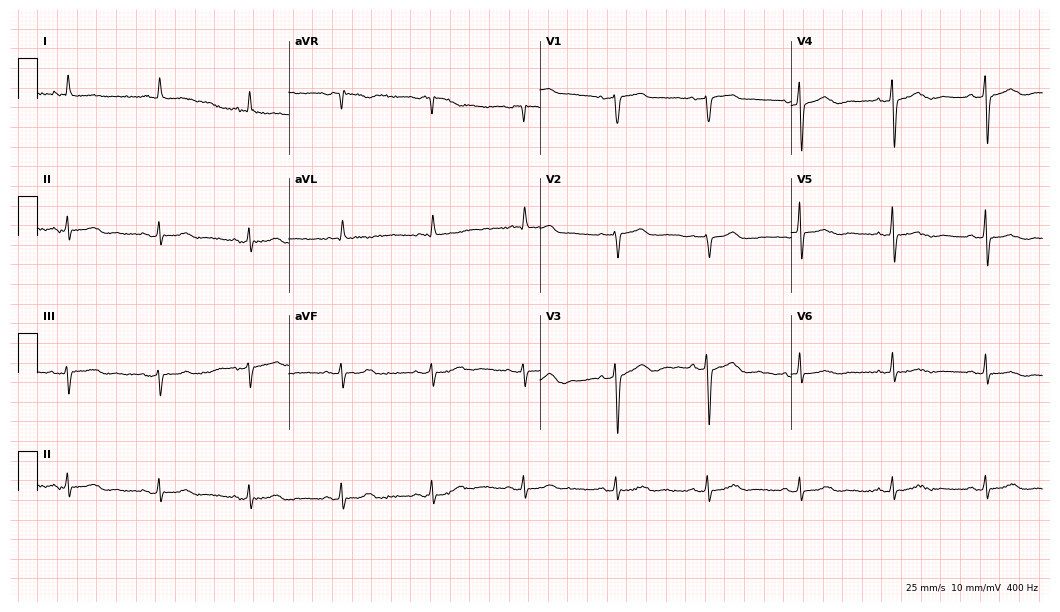
Electrocardiogram (10.2-second recording at 400 Hz), a woman, 70 years old. Overall reading on record: normal ECG.